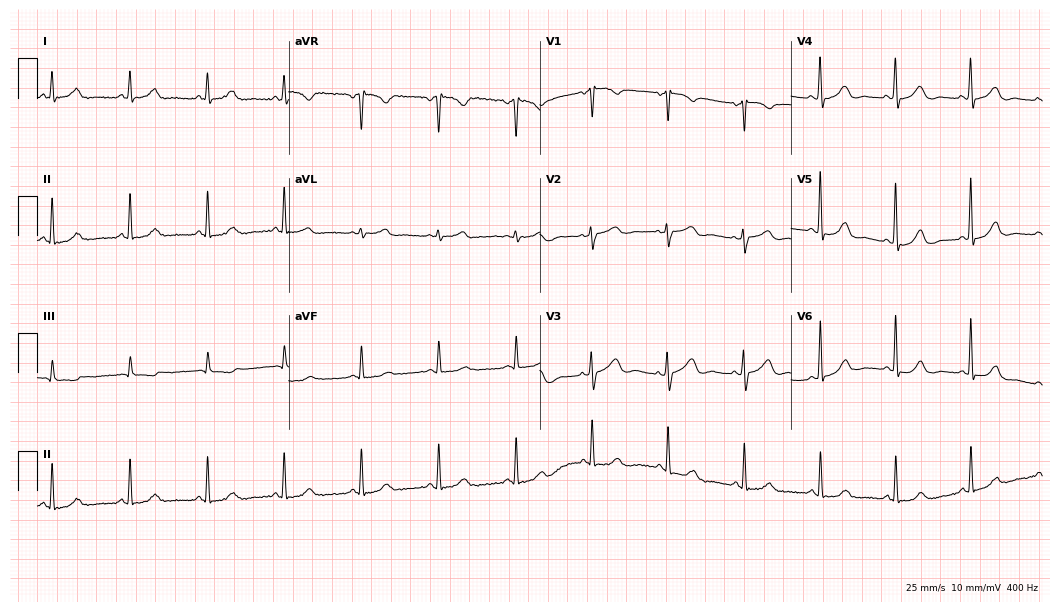
Resting 12-lead electrocardiogram. Patient: a 79-year-old female. None of these six findings is recorded: first-degree AV block, right bundle branch block, left bundle branch block, sinus bradycardia, atrial fibrillation, sinus tachycardia.